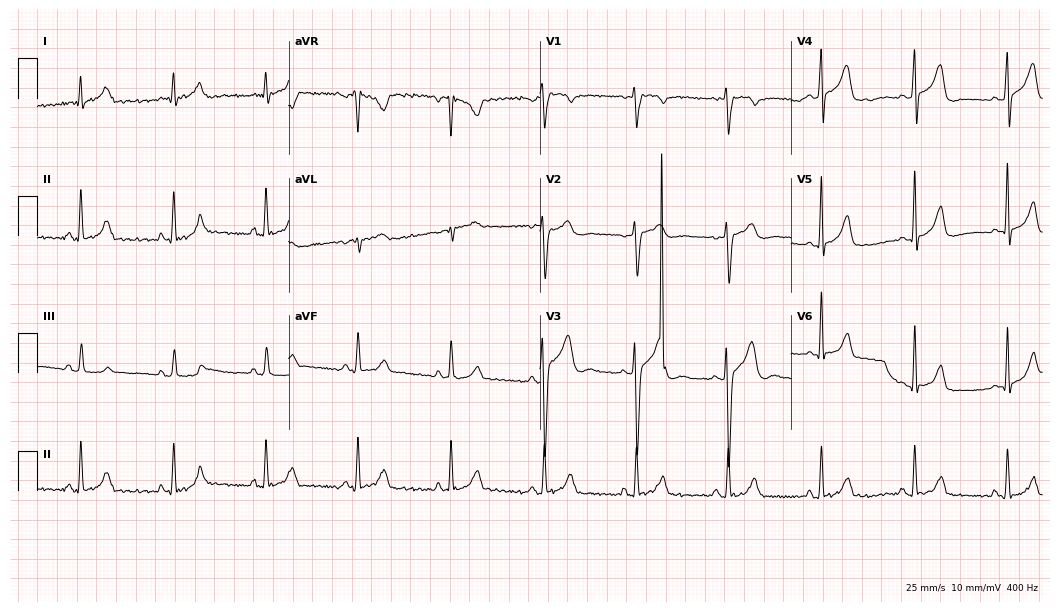
Standard 12-lead ECG recorded from a man, 17 years old (10.2-second recording at 400 Hz). Read as a normal ECG.